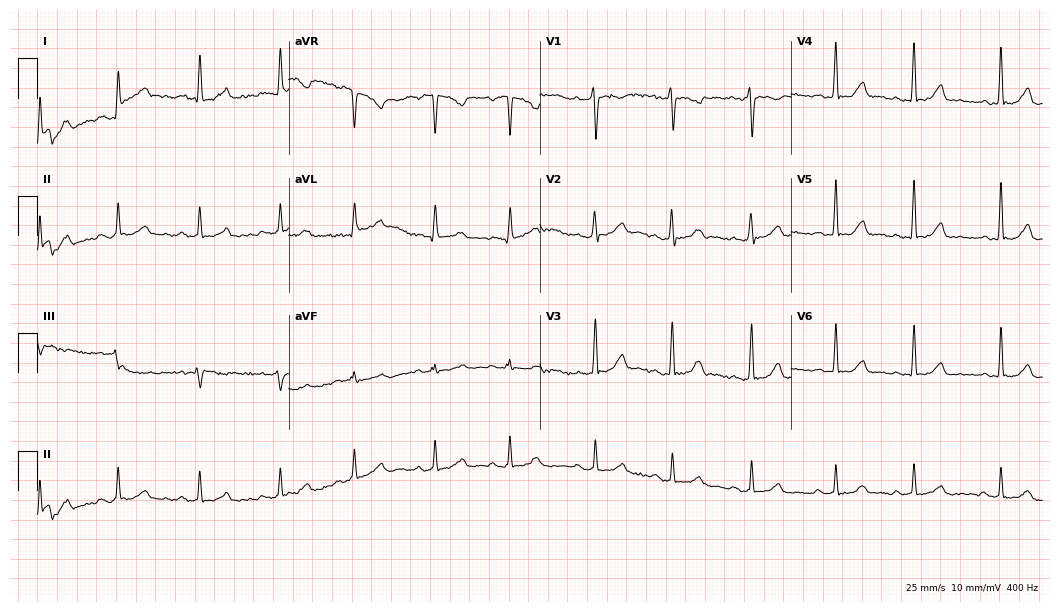
12-lead ECG from a 19-year-old female patient (10.2-second recording at 400 Hz). No first-degree AV block, right bundle branch block, left bundle branch block, sinus bradycardia, atrial fibrillation or sinus tachycardia recorded for this tracing.